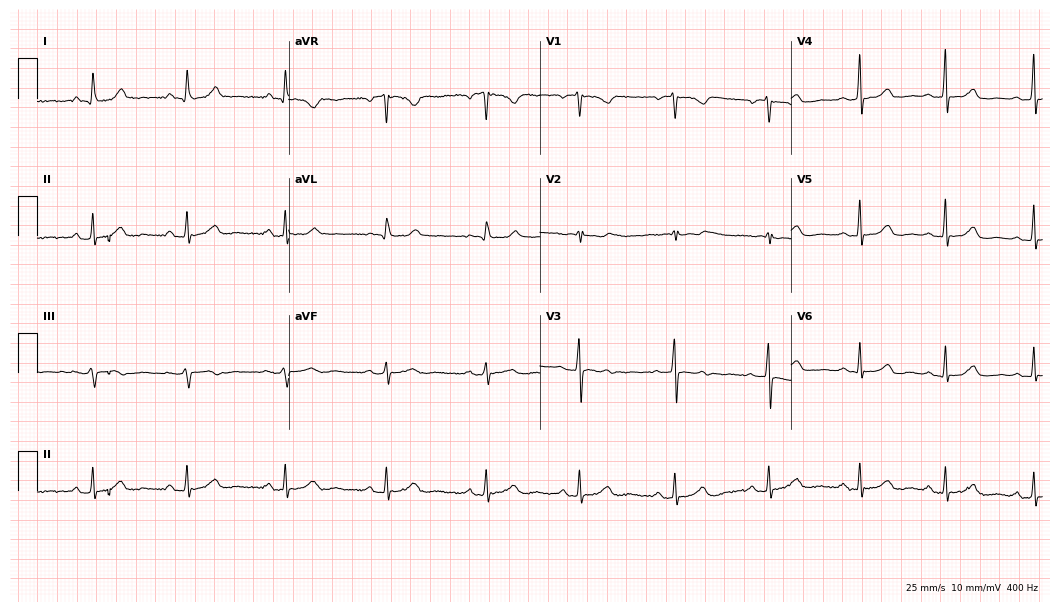
12-lead ECG from a 57-year-old woman. Recorded interpretation: within normal limits.